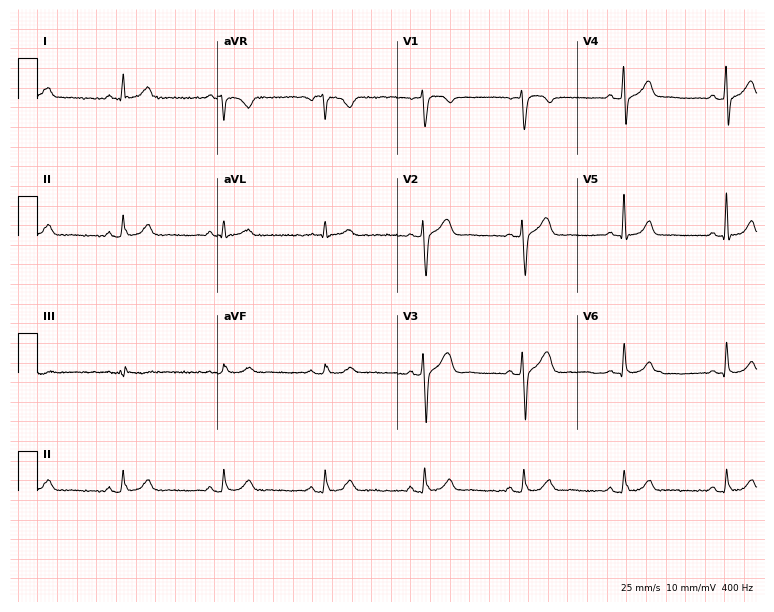
Standard 12-lead ECG recorded from a 61-year-old male patient (7.3-second recording at 400 Hz). Read as a normal ECG.